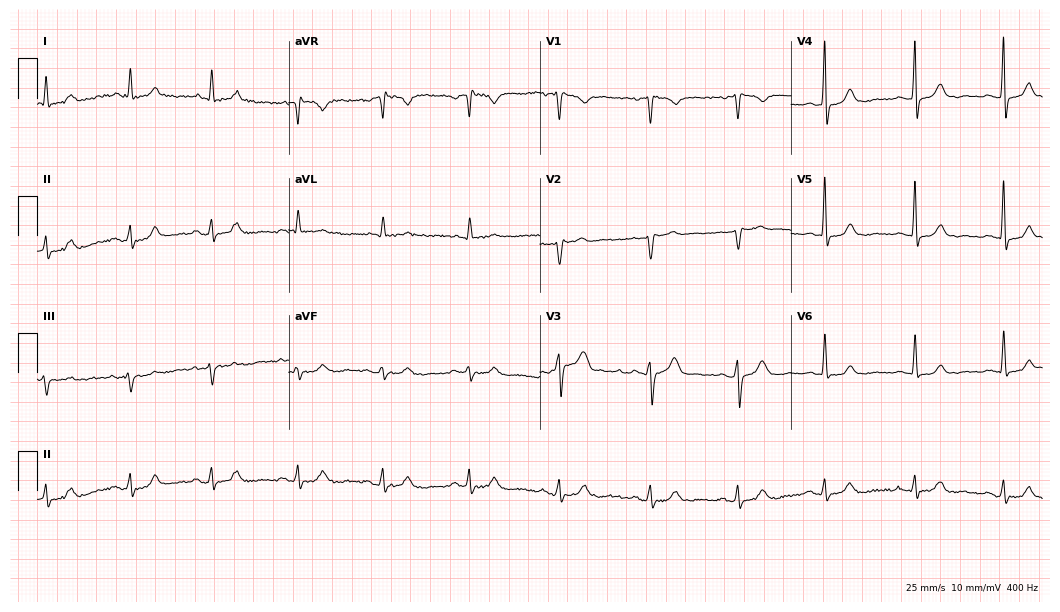
Electrocardiogram, a 60-year-old woman. Of the six screened findings (first-degree AV block, right bundle branch block, left bundle branch block, sinus bradycardia, atrial fibrillation, sinus tachycardia), none is recorded. Findings outside these six are not listed.